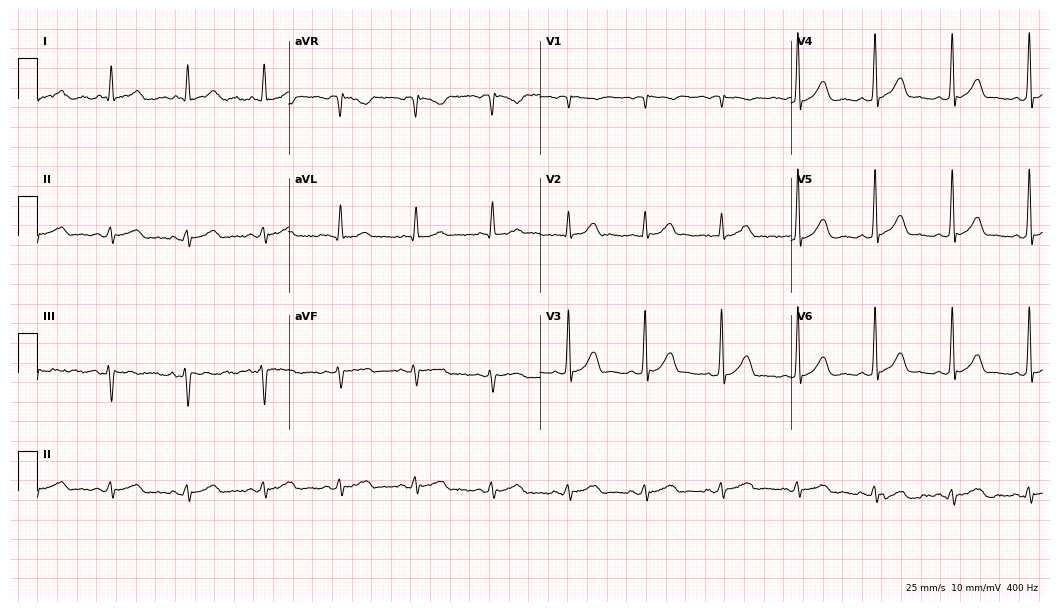
12-lead ECG from a 79-year-old male patient. Recorded interpretation: within normal limits.